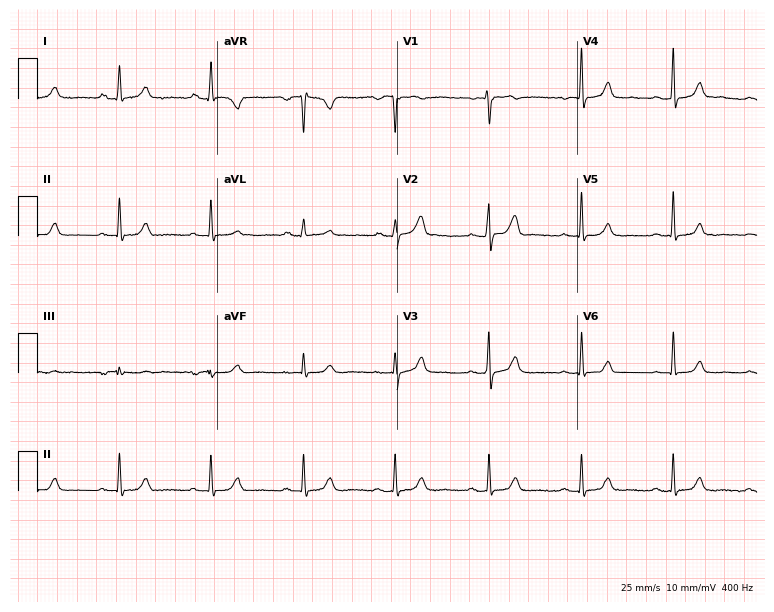
Electrocardiogram (7.3-second recording at 400 Hz), a female patient, 44 years old. Overall reading on record: normal ECG.